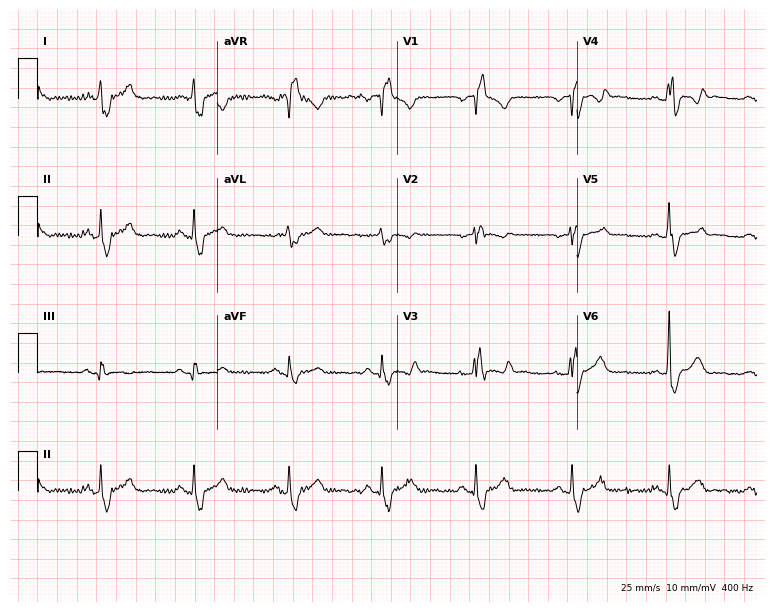
ECG — a male patient, 47 years old. Findings include right bundle branch block.